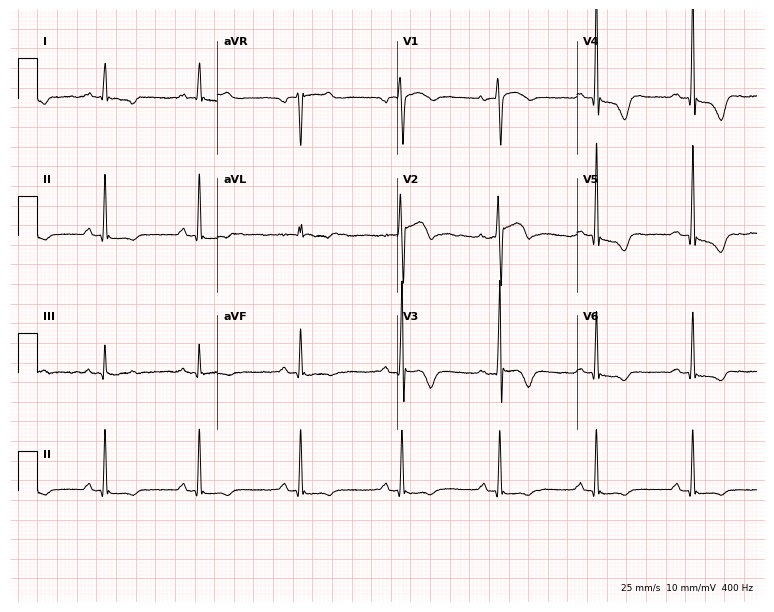
ECG (7.3-second recording at 400 Hz) — a 36-year-old male. Screened for six findings — first-degree AV block, right bundle branch block, left bundle branch block, sinus bradycardia, atrial fibrillation, sinus tachycardia — none is recorded.